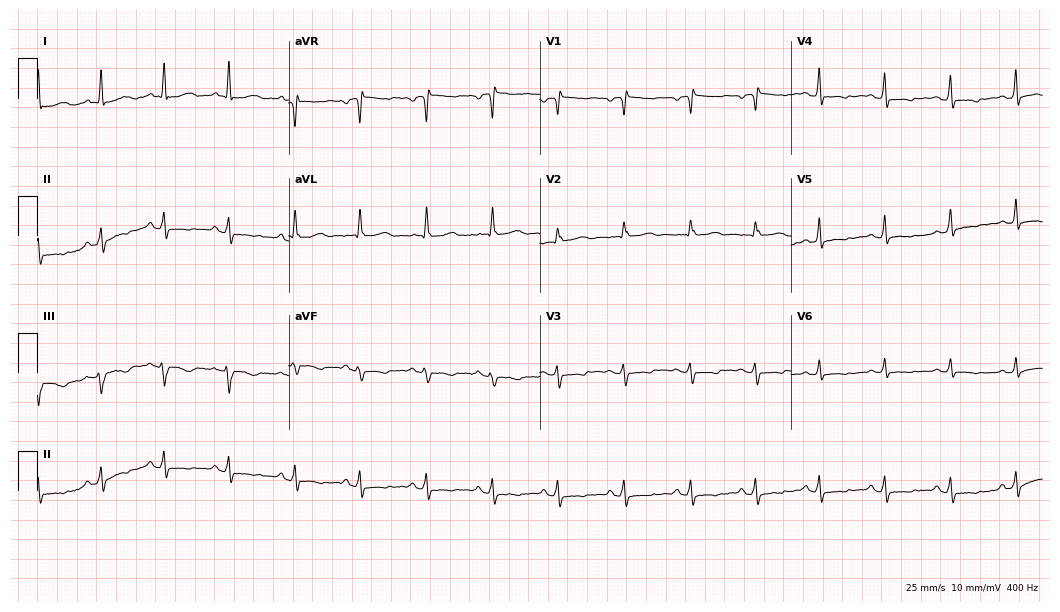
12-lead ECG (10.2-second recording at 400 Hz) from a 52-year-old woman. Screened for six findings — first-degree AV block, right bundle branch block (RBBB), left bundle branch block (LBBB), sinus bradycardia, atrial fibrillation (AF), sinus tachycardia — none is recorded.